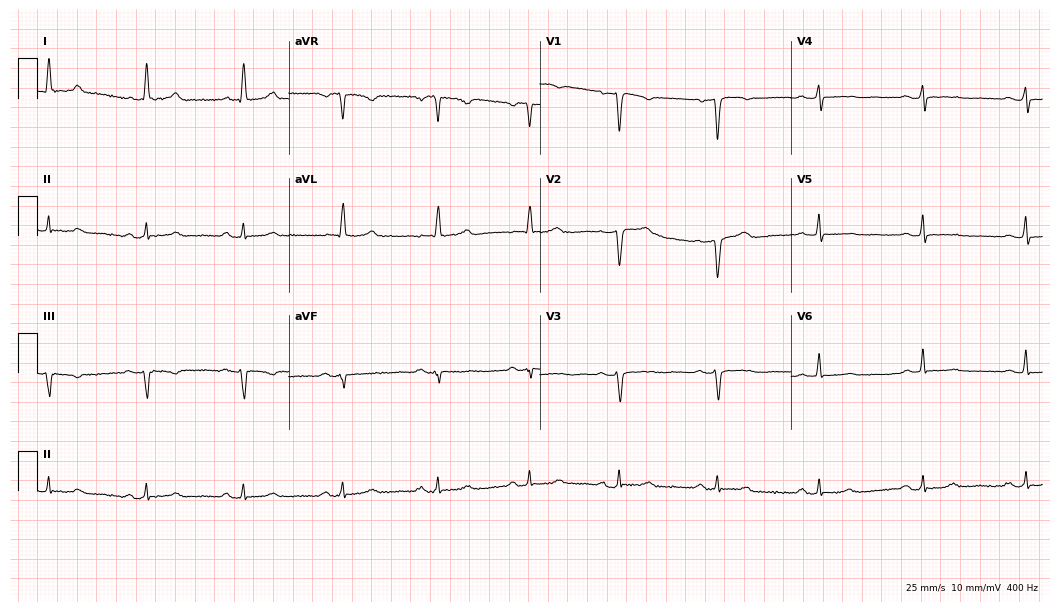
Electrocardiogram (10.2-second recording at 400 Hz), a male, 53 years old. Overall reading on record: normal ECG.